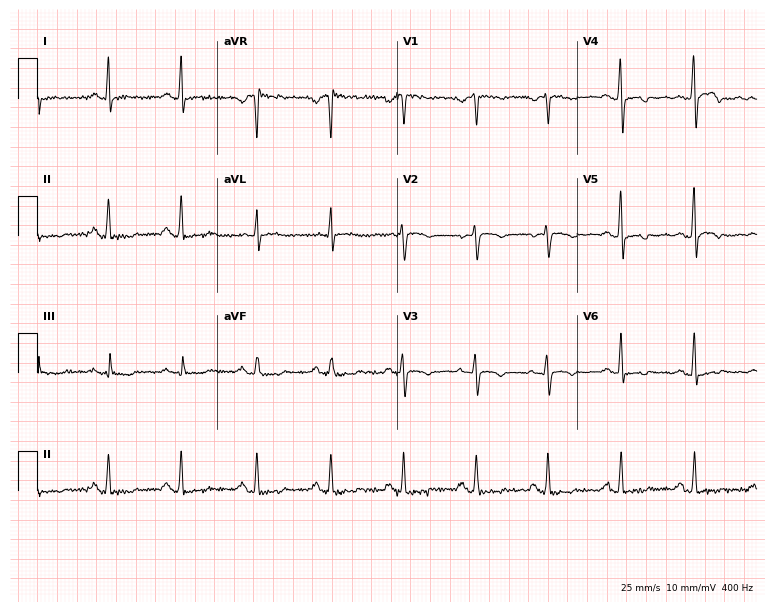
Electrocardiogram, a female patient, 53 years old. Of the six screened findings (first-degree AV block, right bundle branch block (RBBB), left bundle branch block (LBBB), sinus bradycardia, atrial fibrillation (AF), sinus tachycardia), none is recorded. Other findings, if any, are not listed.